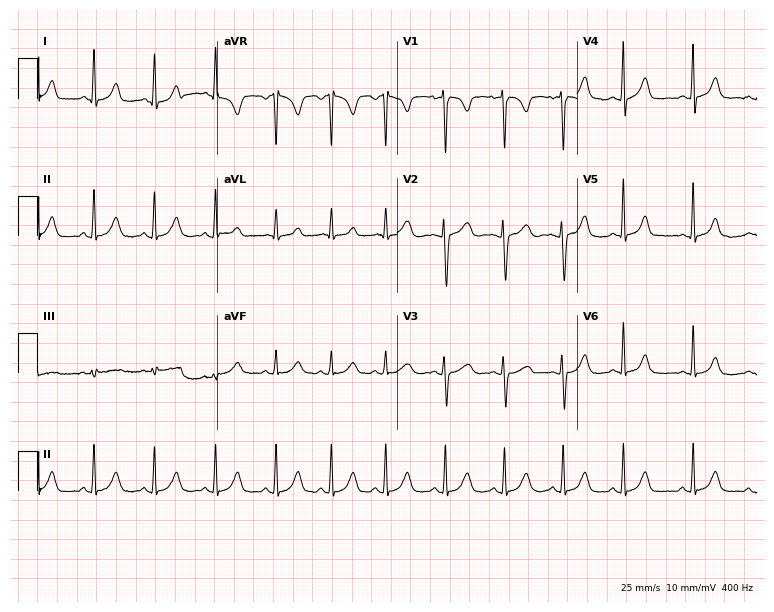
Resting 12-lead electrocardiogram (7.3-second recording at 400 Hz). Patient: a 21-year-old female. Read as a normal ECG.